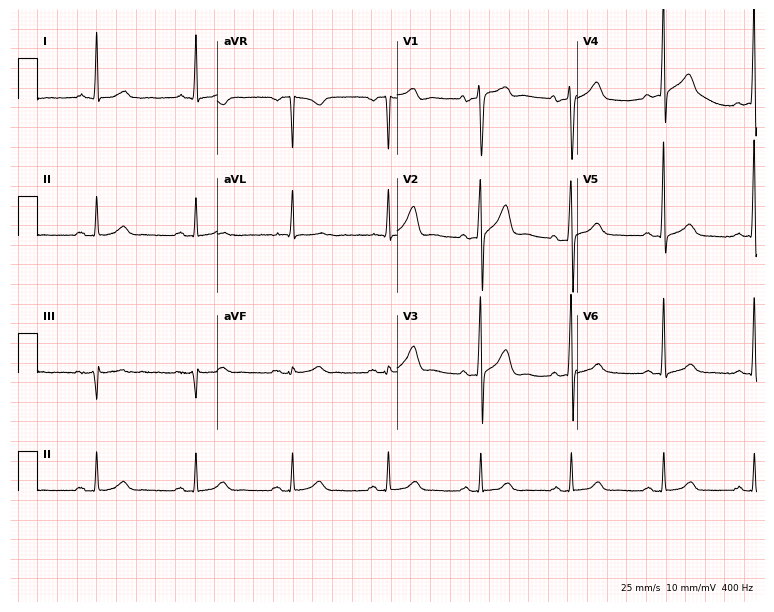
Resting 12-lead electrocardiogram (7.3-second recording at 400 Hz). Patient: a male, 55 years old. Read as a normal ECG.